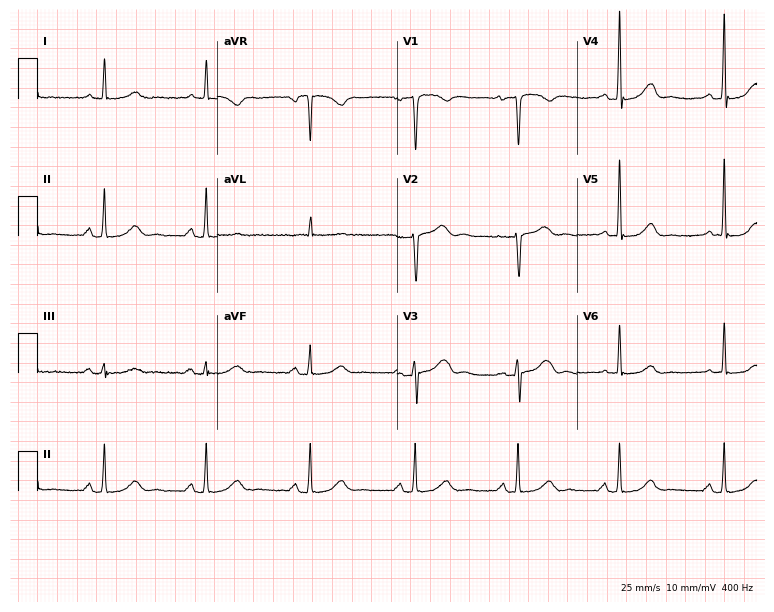
Electrocardiogram, a 66-year-old woman. Overall reading on record: normal ECG.